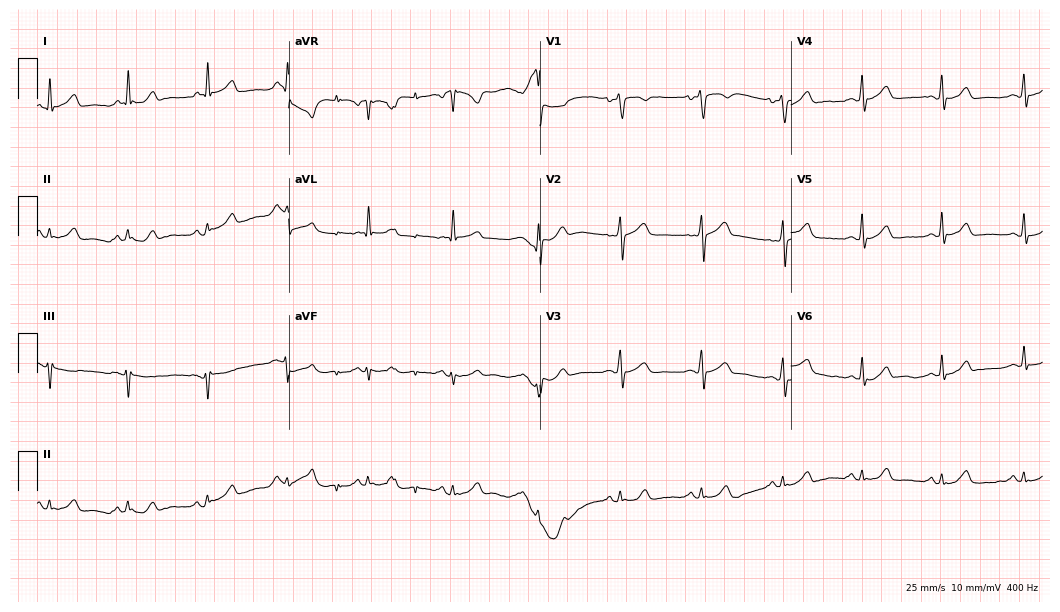
12-lead ECG from a 56-year-old male patient (10.2-second recording at 400 Hz). No first-degree AV block, right bundle branch block (RBBB), left bundle branch block (LBBB), sinus bradycardia, atrial fibrillation (AF) or sinus tachycardia recorded for this tracing.